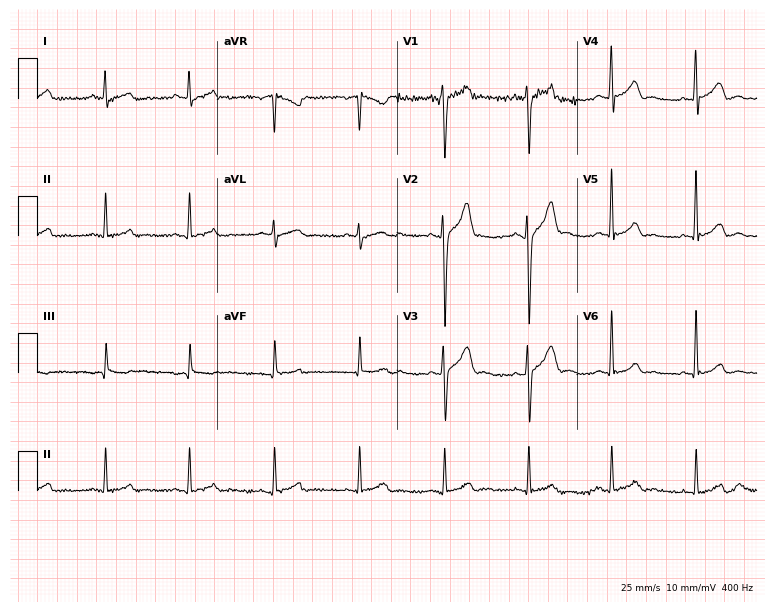
12-lead ECG from a male, 33 years old. Recorded interpretation: within normal limits.